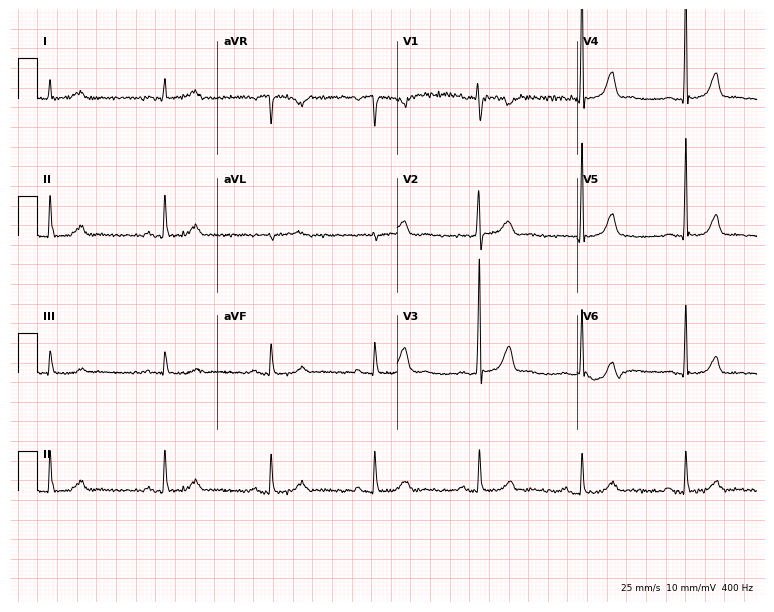
12-lead ECG from a female, 51 years old (7.3-second recording at 400 Hz). Recorded interpretation: within normal limits.